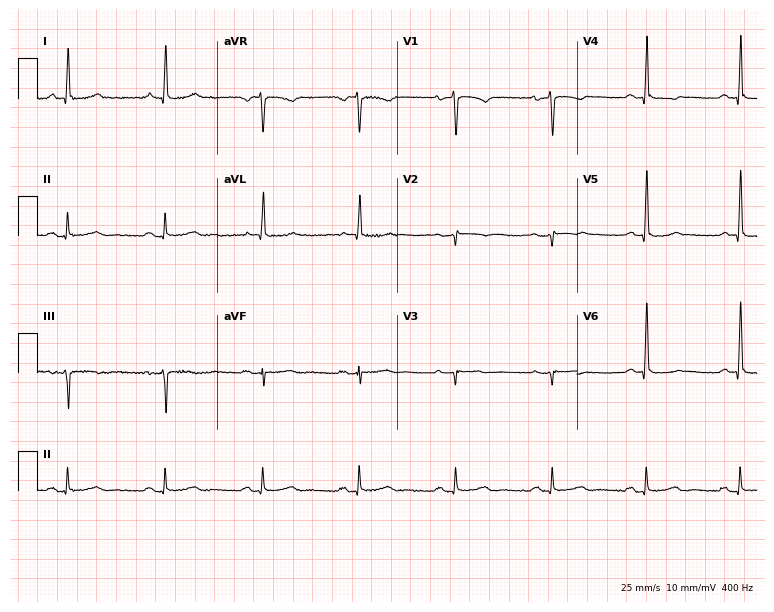
ECG (7.3-second recording at 400 Hz) — a woman, 60 years old. Screened for six findings — first-degree AV block, right bundle branch block, left bundle branch block, sinus bradycardia, atrial fibrillation, sinus tachycardia — none is recorded.